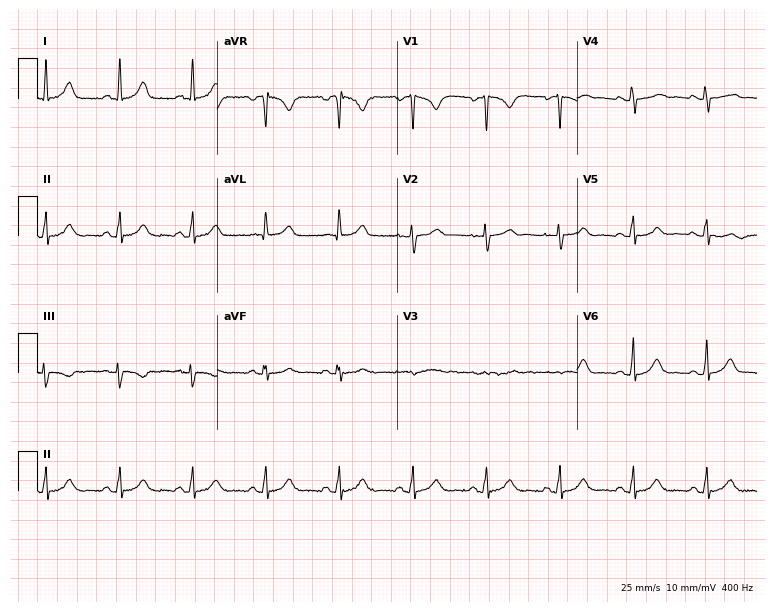
Resting 12-lead electrocardiogram (7.3-second recording at 400 Hz). Patient: a female, 39 years old. Read as a normal ECG.